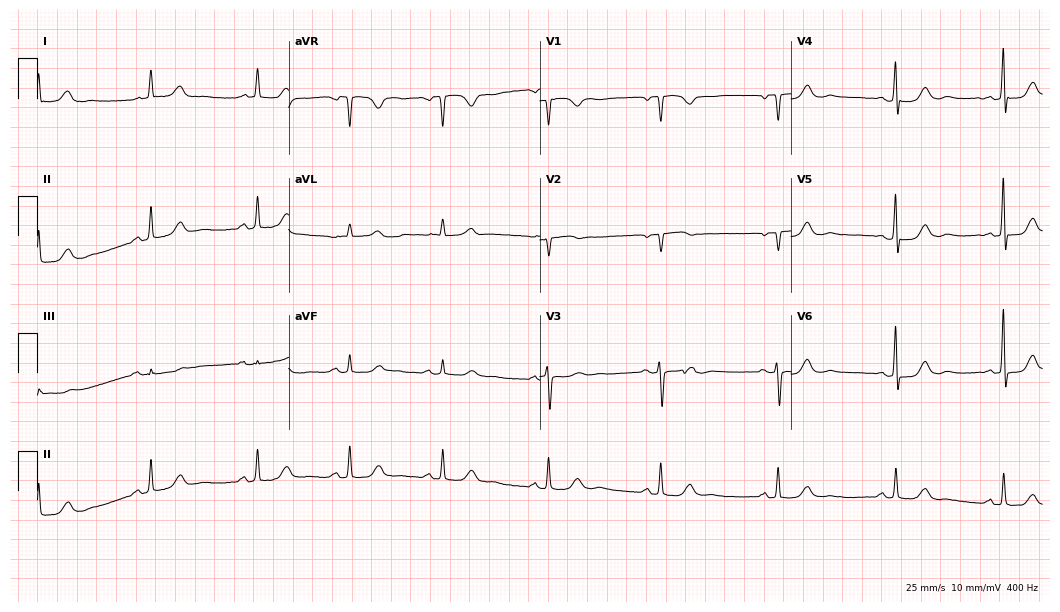
Standard 12-lead ECG recorded from a female, 67 years old. Read as a normal ECG.